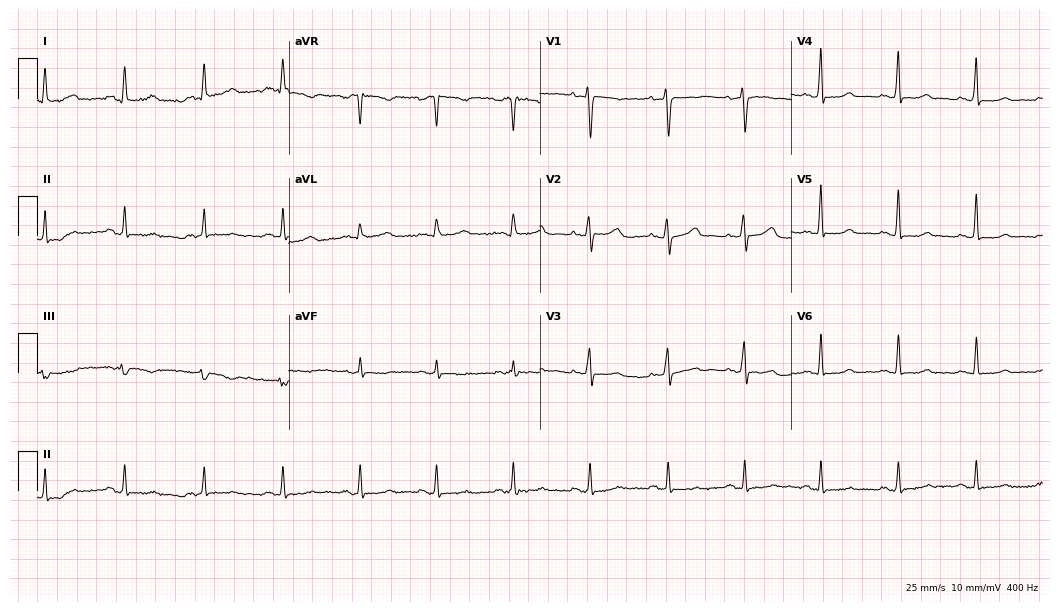
12-lead ECG from a 47-year-old female (10.2-second recording at 400 Hz). No first-degree AV block, right bundle branch block, left bundle branch block, sinus bradycardia, atrial fibrillation or sinus tachycardia recorded for this tracing. Other findings, if any, are not listed.